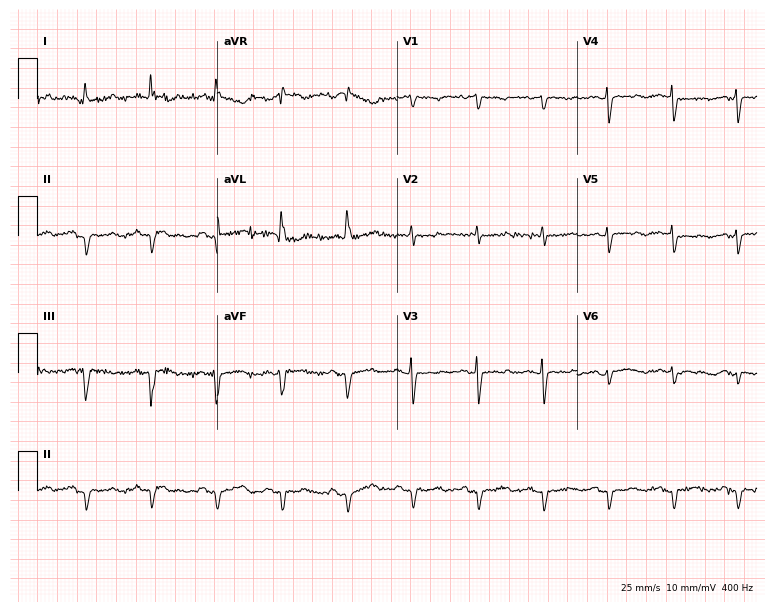
Resting 12-lead electrocardiogram (7.3-second recording at 400 Hz). Patient: a woman, 71 years old. None of these six findings is recorded: first-degree AV block, right bundle branch block, left bundle branch block, sinus bradycardia, atrial fibrillation, sinus tachycardia.